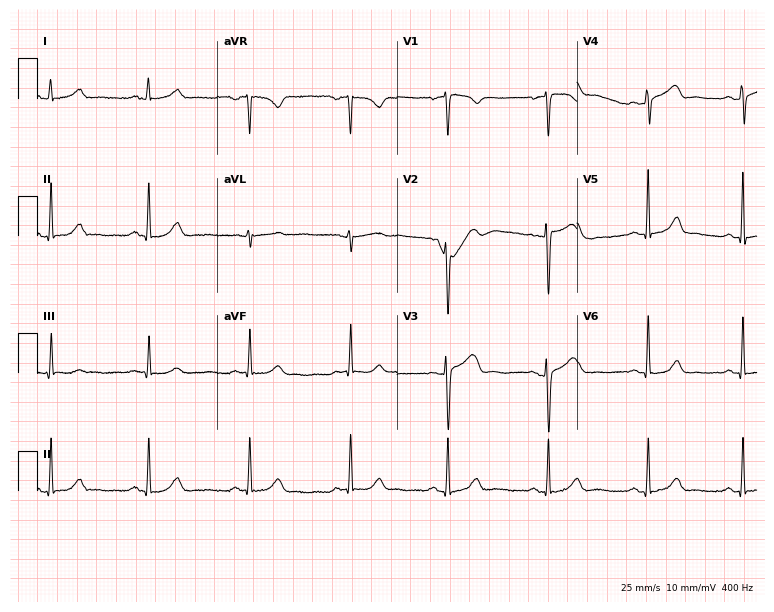
ECG (7.3-second recording at 400 Hz) — a female patient, 37 years old. Labelled as a normal ECG.